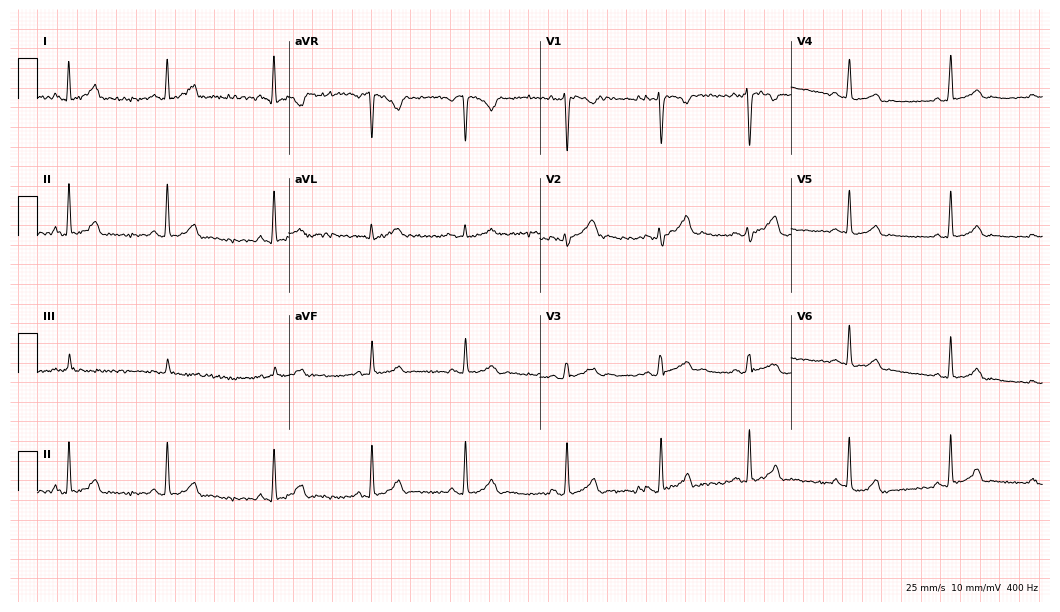
ECG (10.2-second recording at 400 Hz) — a woman, 24 years old. Labelled as a normal ECG.